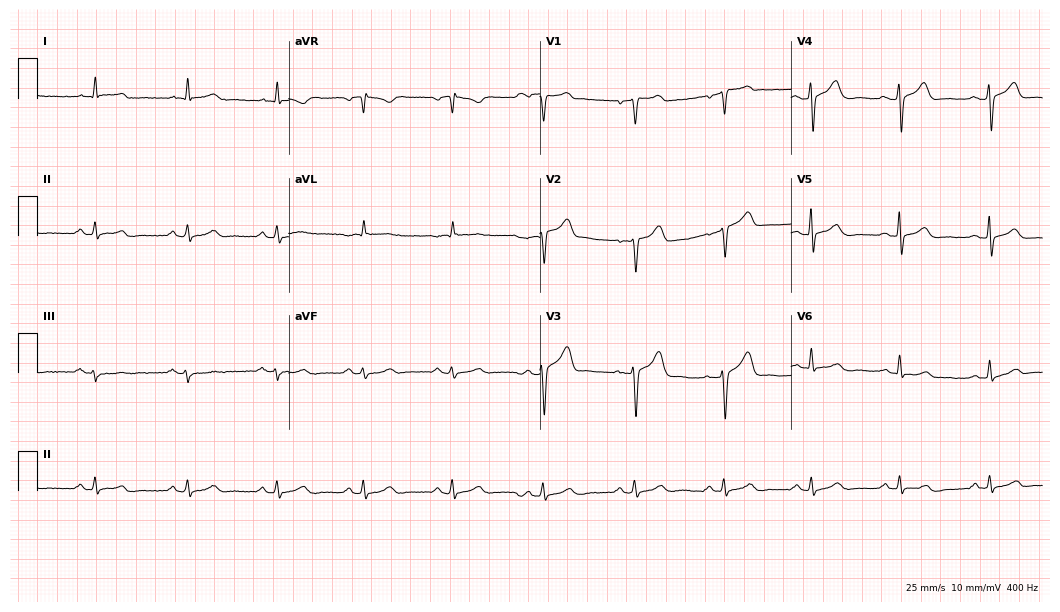
12-lead ECG from a 47-year-old male. Recorded interpretation: within normal limits.